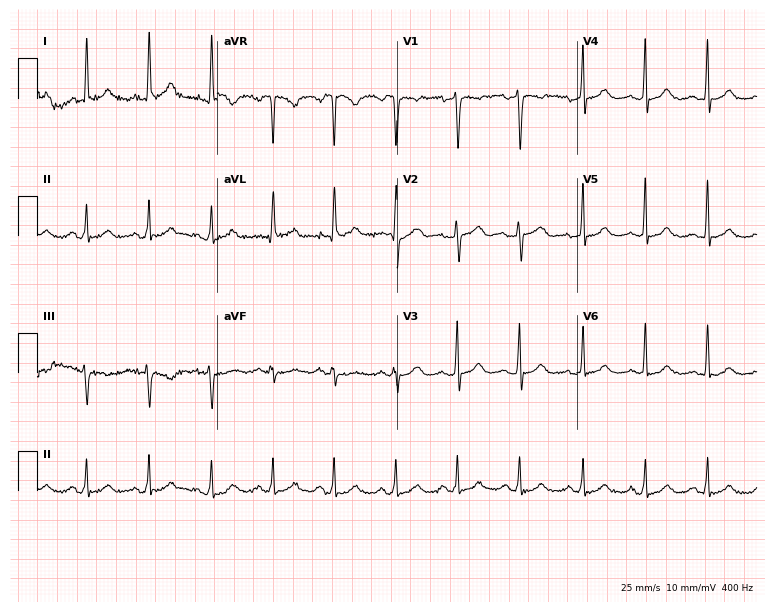
ECG — a female patient, 50 years old. Screened for six findings — first-degree AV block, right bundle branch block (RBBB), left bundle branch block (LBBB), sinus bradycardia, atrial fibrillation (AF), sinus tachycardia — none is recorded.